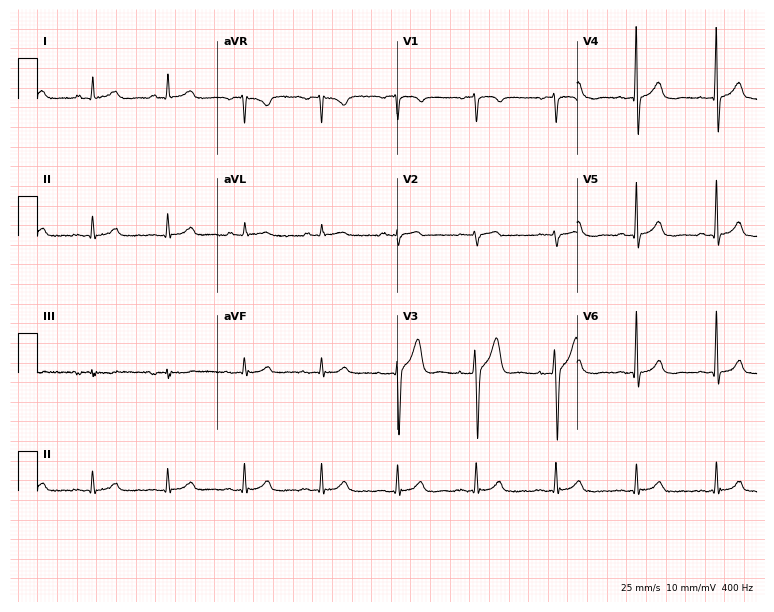
12-lead ECG from a man, 53 years old. Labelled as a normal ECG.